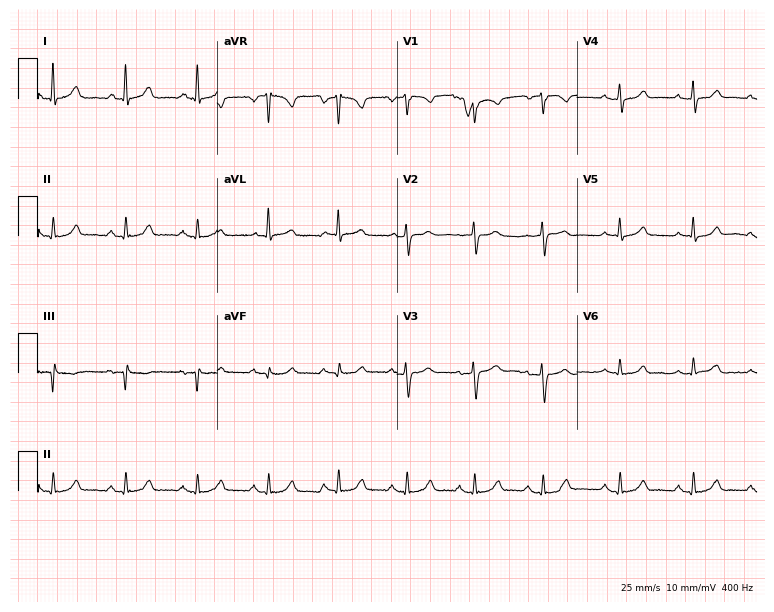
12-lead ECG from a female patient, 68 years old. Recorded interpretation: within normal limits.